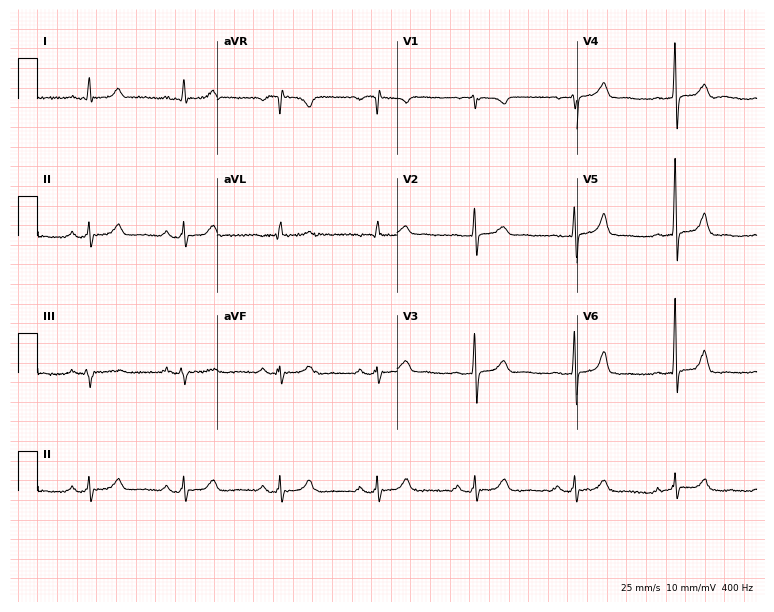
Resting 12-lead electrocardiogram. Patient: a male, 54 years old. None of these six findings is recorded: first-degree AV block, right bundle branch block (RBBB), left bundle branch block (LBBB), sinus bradycardia, atrial fibrillation (AF), sinus tachycardia.